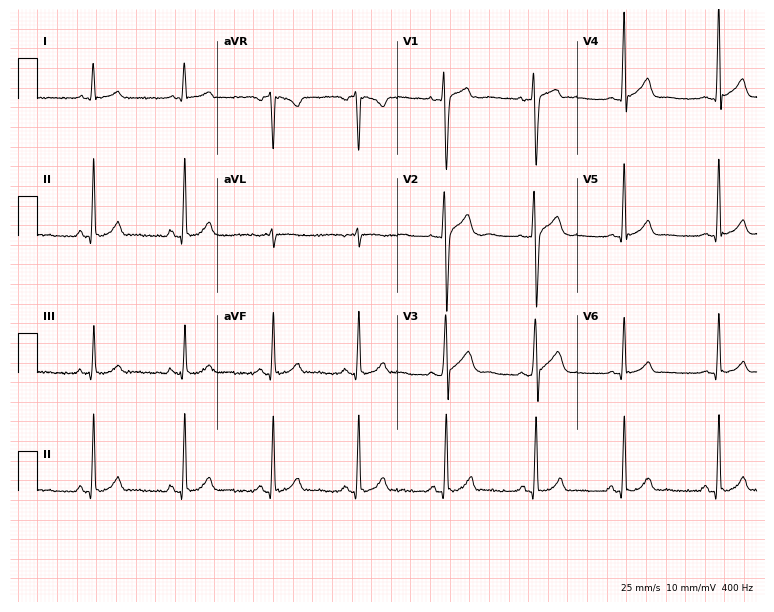
Electrocardiogram (7.3-second recording at 400 Hz), a male patient, 22 years old. Of the six screened findings (first-degree AV block, right bundle branch block, left bundle branch block, sinus bradycardia, atrial fibrillation, sinus tachycardia), none is recorded.